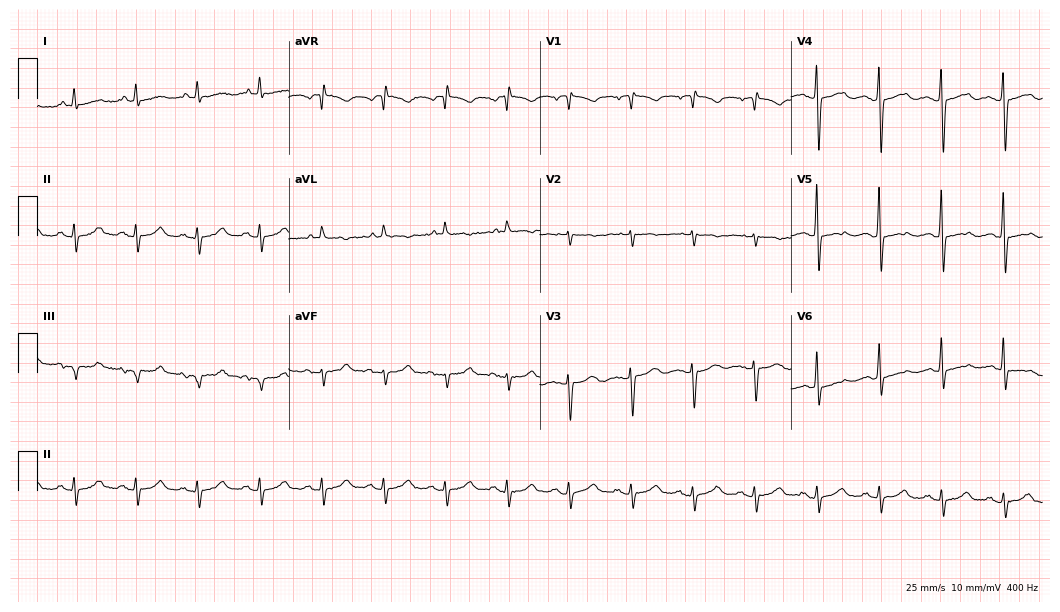
12-lead ECG from a female, 73 years old (10.2-second recording at 400 Hz). No first-degree AV block, right bundle branch block (RBBB), left bundle branch block (LBBB), sinus bradycardia, atrial fibrillation (AF) or sinus tachycardia recorded for this tracing. Other findings, if any, are not listed.